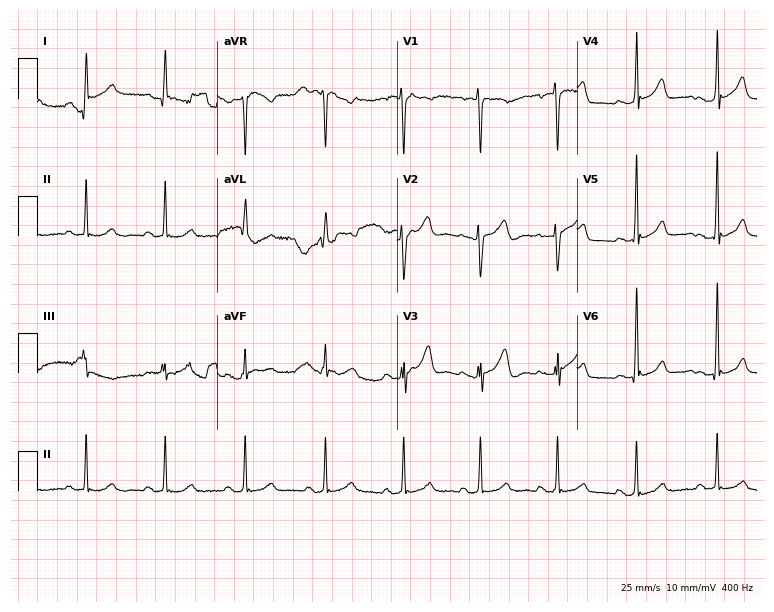
ECG — a 50-year-old male. Screened for six findings — first-degree AV block, right bundle branch block (RBBB), left bundle branch block (LBBB), sinus bradycardia, atrial fibrillation (AF), sinus tachycardia — none is recorded.